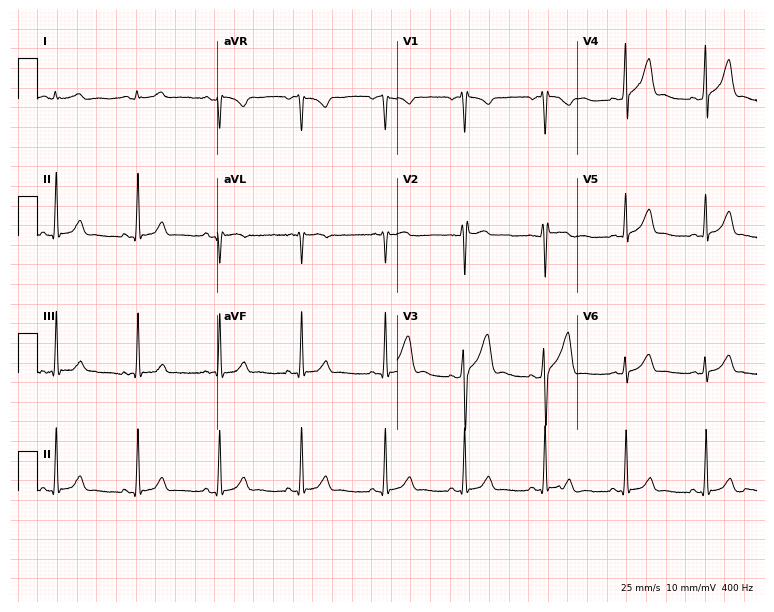
12-lead ECG (7.3-second recording at 400 Hz) from a 30-year-old male. Labelled as a normal ECG.